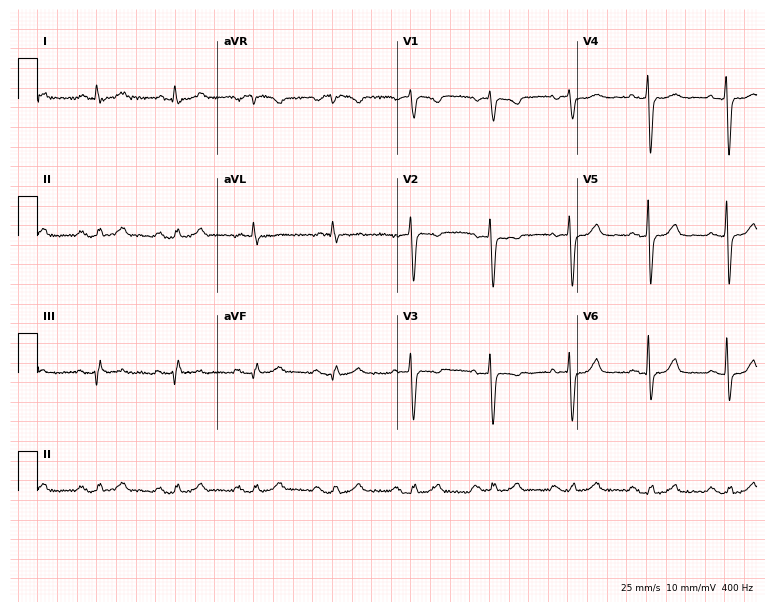
Electrocardiogram (7.3-second recording at 400 Hz), a 73-year-old female. Overall reading on record: normal ECG.